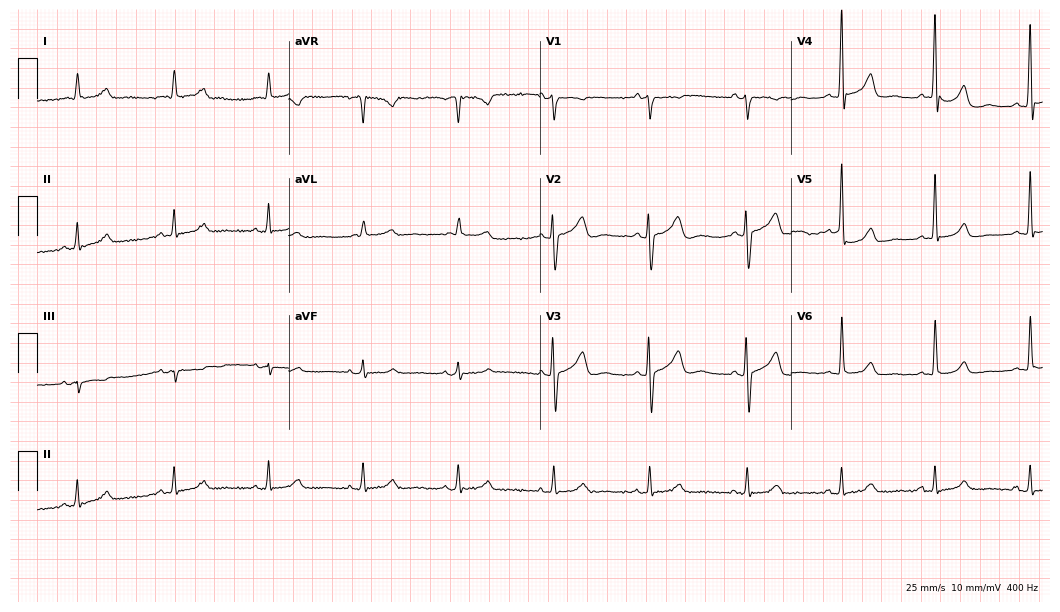
Resting 12-lead electrocardiogram (10.2-second recording at 400 Hz). Patient: a 71-year-old woman. None of these six findings is recorded: first-degree AV block, right bundle branch block, left bundle branch block, sinus bradycardia, atrial fibrillation, sinus tachycardia.